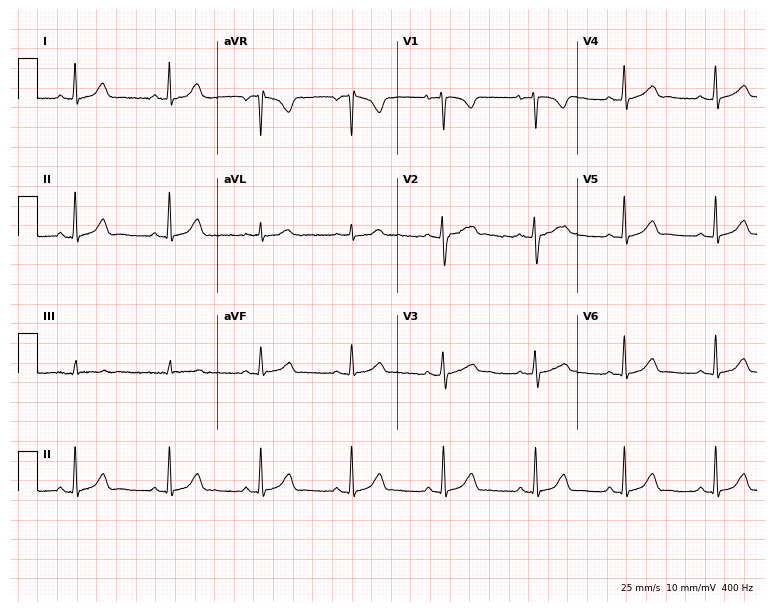
Electrocardiogram, a 24-year-old female patient. Overall reading on record: normal ECG.